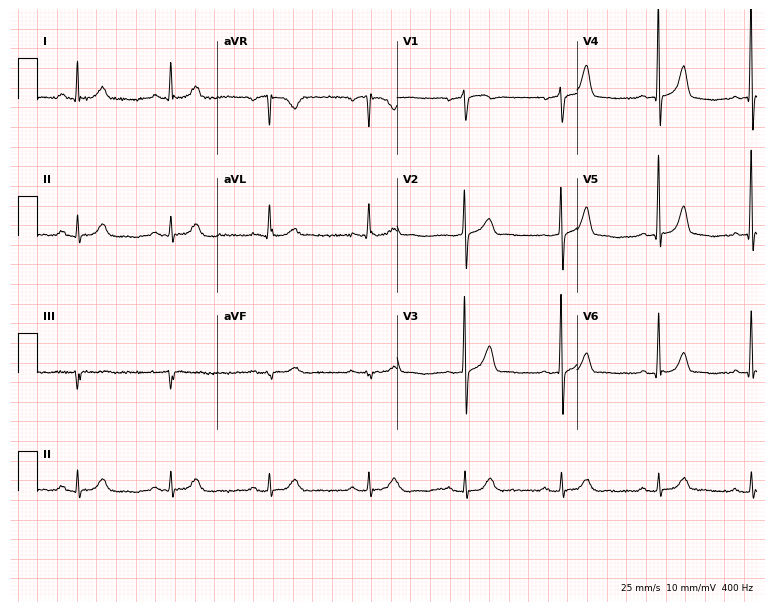
Electrocardiogram (7.3-second recording at 400 Hz), a 66-year-old male. Overall reading on record: normal ECG.